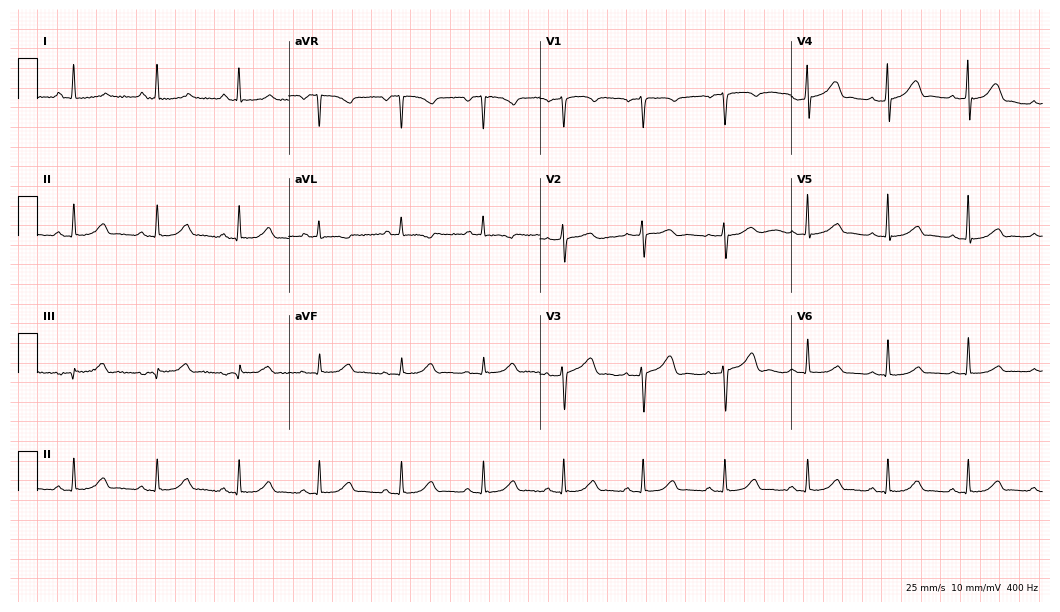
ECG — a female patient, 63 years old. Labelled as a normal ECG.